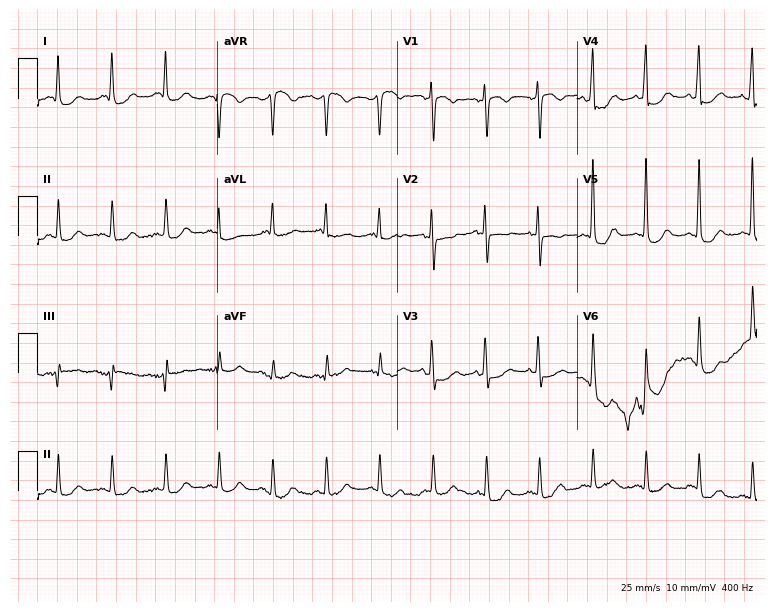
Resting 12-lead electrocardiogram. Patient: an 84-year-old woman. The tracing shows sinus tachycardia (a sinus rate of 100 beats per minute or more).